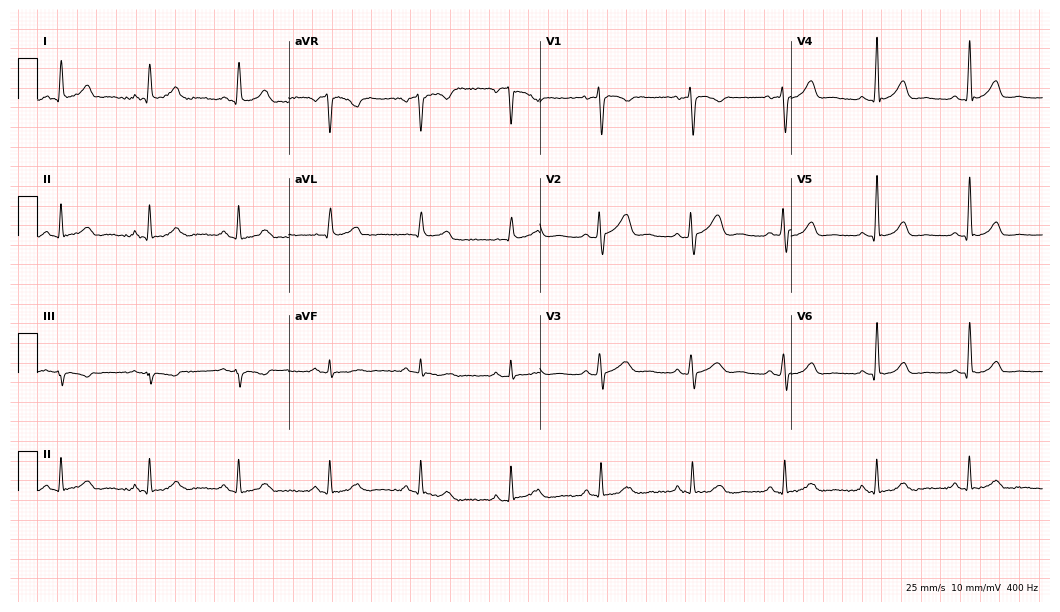
ECG — a 47-year-old female patient. Labelled as a normal ECG.